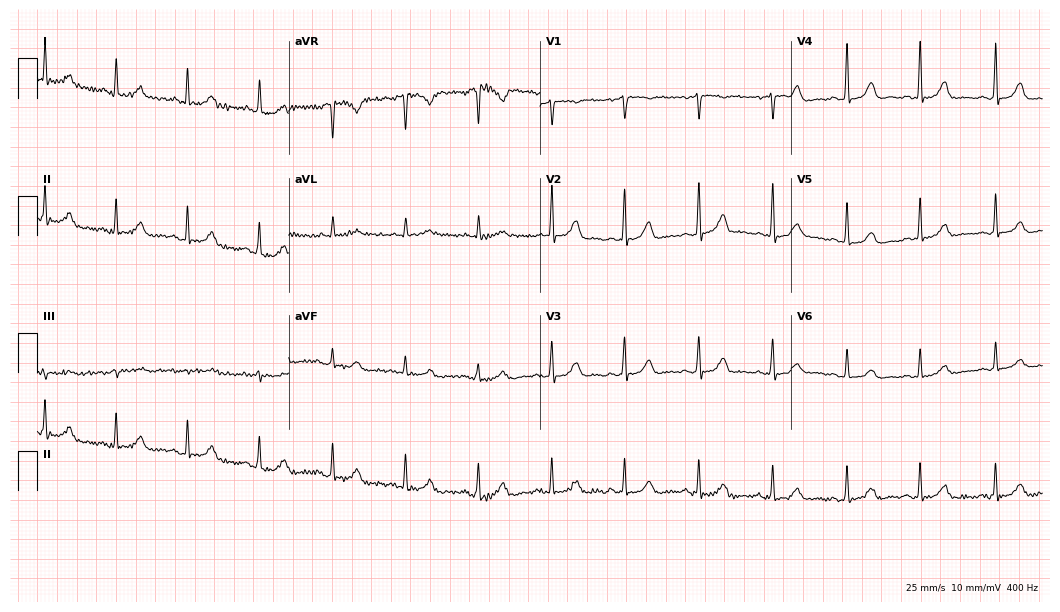
12-lead ECG from a female patient, 70 years old. Labelled as a normal ECG.